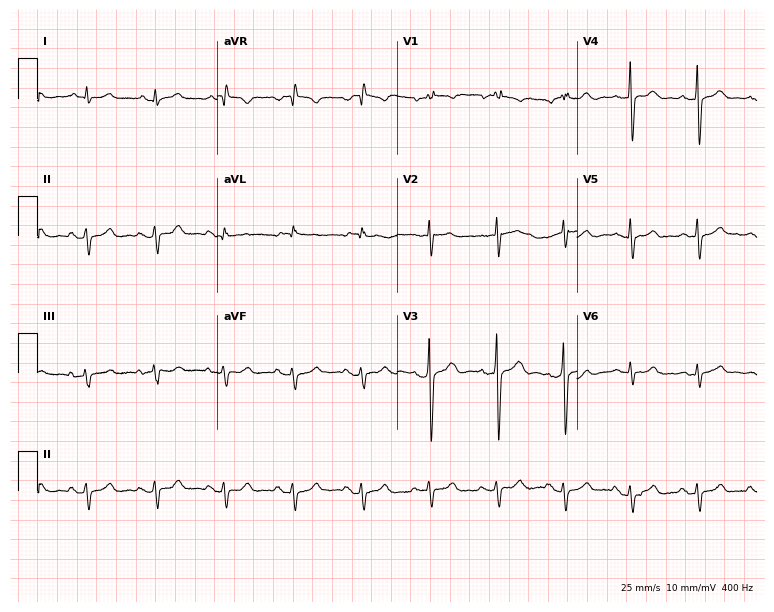
12-lead ECG (7.3-second recording at 400 Hz) from a 76-year-old male patient. Screened for six findings — first-degree AV block, right bundle branch block, left bundle branch block, sinus bradycardia, atrial fibrillation, sinus tachycardia — none is recorded.